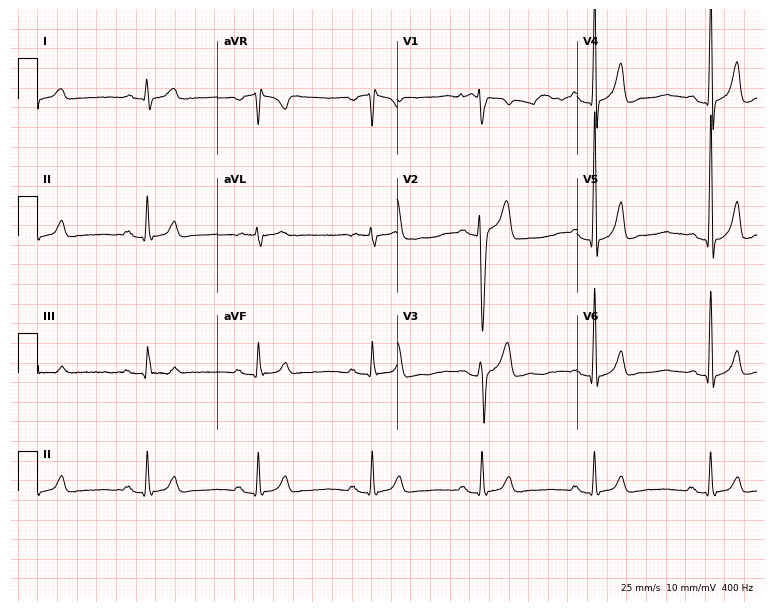
Resting 12-lead electrocardiogram (7.3-second recording at 400 Hz). Patient: a 28-year-old male. None of these six findings is recorded: first-degree AV block, right bundle branch block, left bundle branch block, sinus bradycardia, atrial fibrillation, sinus tachycardia. Findings outside these six are not listed.